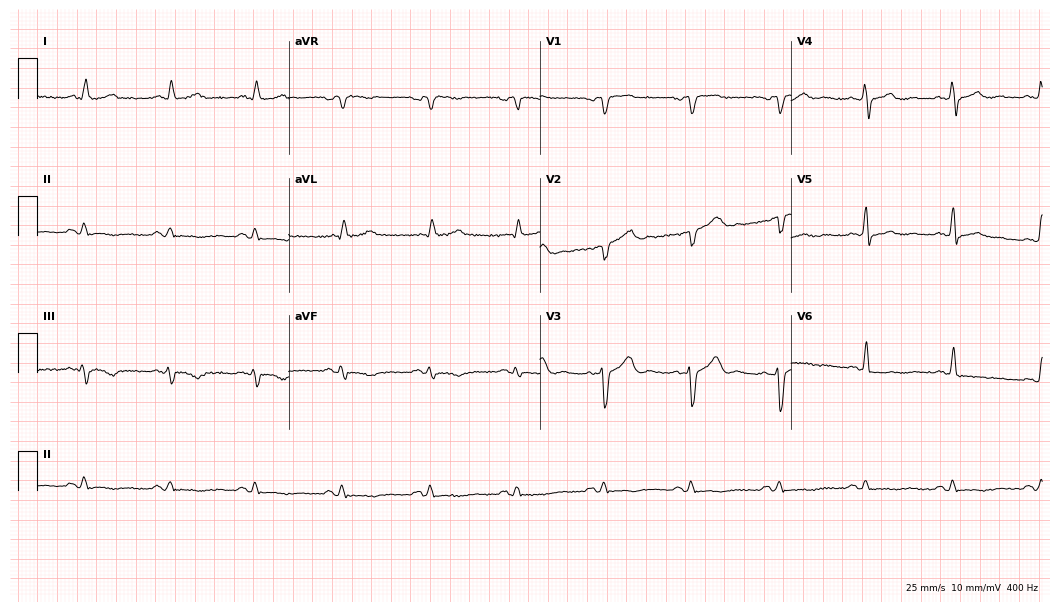
ECG — a 59-year-old male patient. Labelled as a normal ECG.